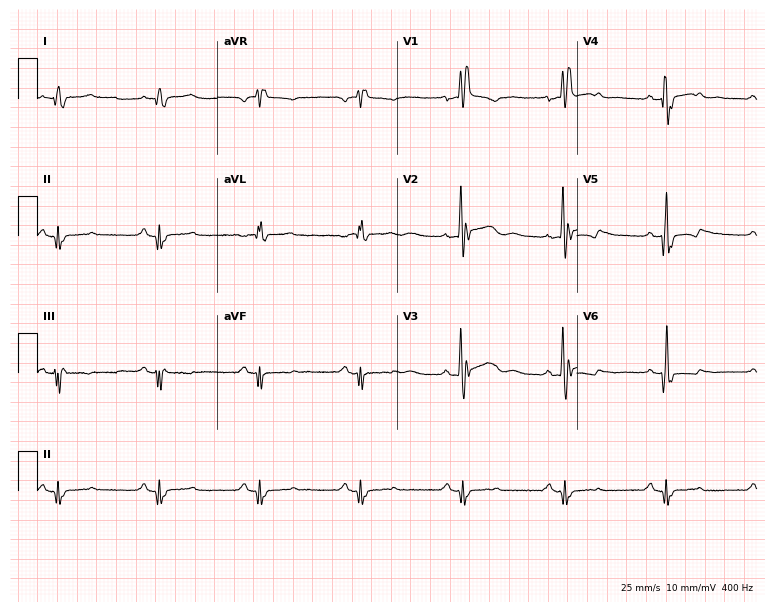
12-lead ECG from a male patient, 75 years old. Shows right bundle branch block.